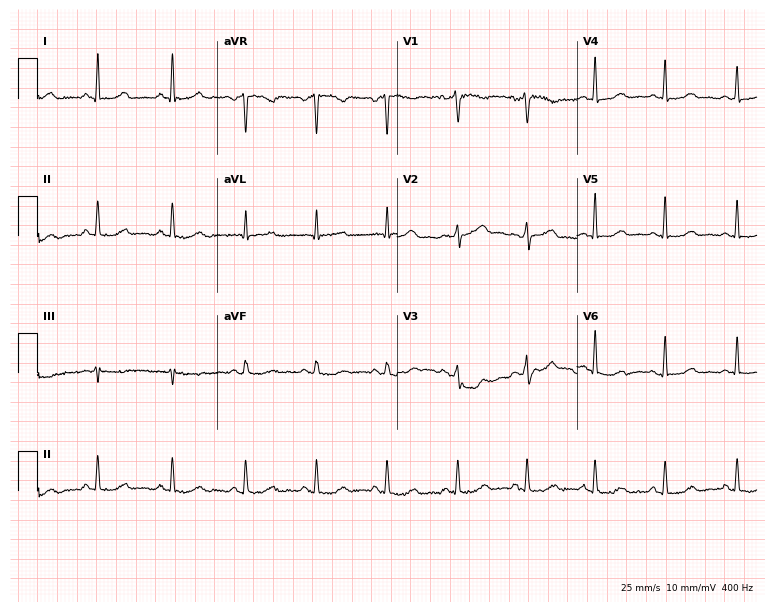
ECG — a woman, 36 years old. Labelled as a normal ECG.